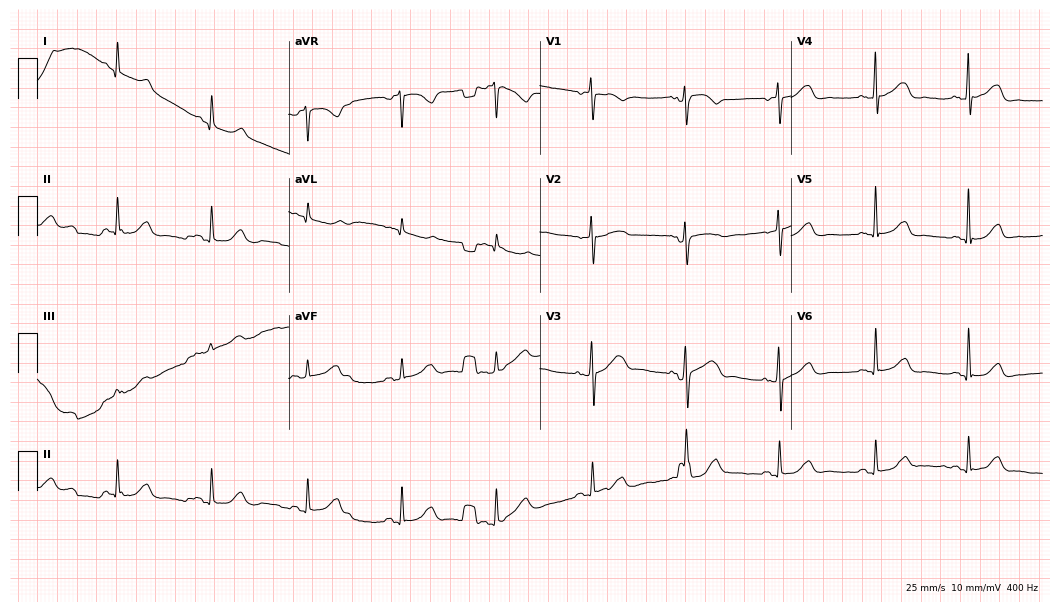
12-lead ECG (10.2-second recording at 400 Hz) from a female, 82 years old. Labelled as a normal ECG.